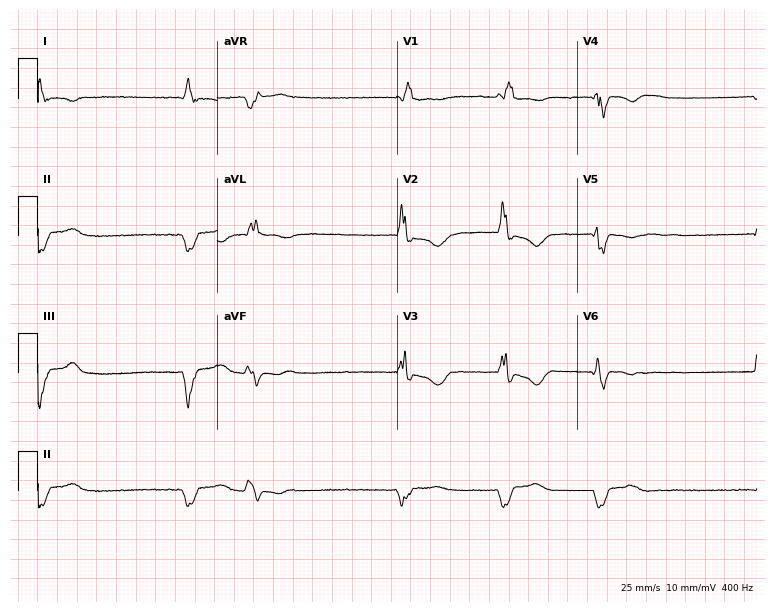
Electrocardiogram (7.3-second recording at 400 Hz), a 57-year-old female patient. Of the six screened findings (first-degree AV block, right bundle branch block, left bundle branch block, sinus bradycardia, atrial fibrillation, sinus tachycardia), none is recorded.